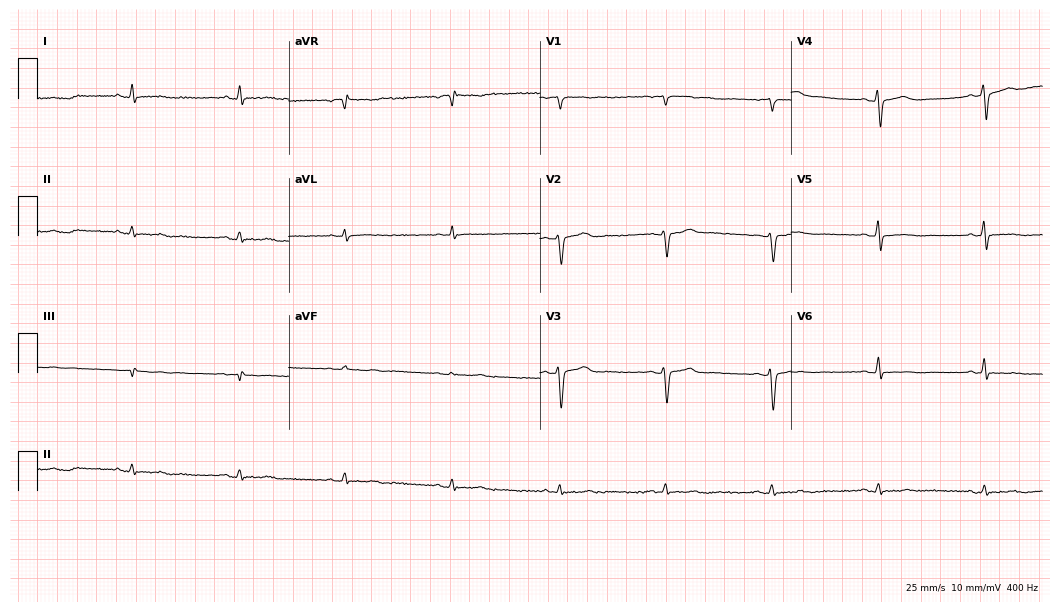
Electrocardiogram, a 41-year-old woman. Of the six screened findings (first-degree AV block, right bundle branch block (RBBB), left bundle branch block (LBBB), sinus bradycardia, atrial fibrillation (AF), sinus tachycardia), none is recorded. Other findings, if any, are not listed.